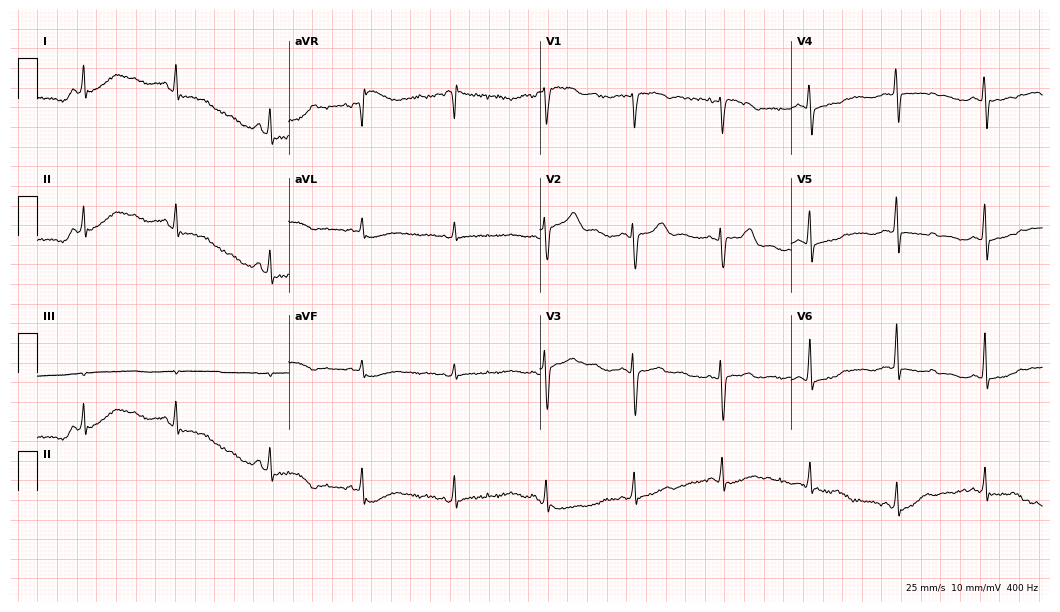
Standard 12-lead ECG recorded from a 61-year-old female. None of these six findings is recorded: first-degree AV block, right bundle branch block (RBBB), left bundle branch block (LBBB), sinus bradycardia, atrial fibrillation (AF), sinus tachycardia. Only these six findings were labelled.